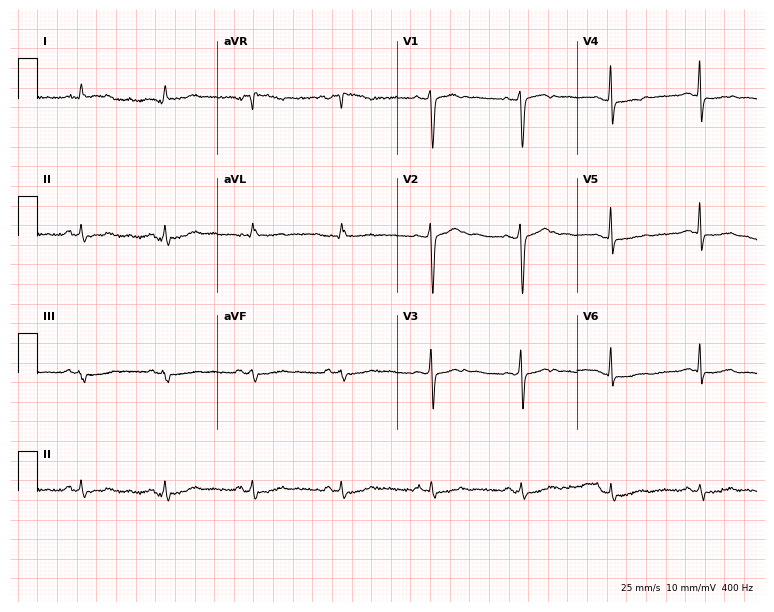
12-lead ECG (7.3-second recording at 400 Hz) from a female patient, 38 years old. Labelled as a normal ECG.